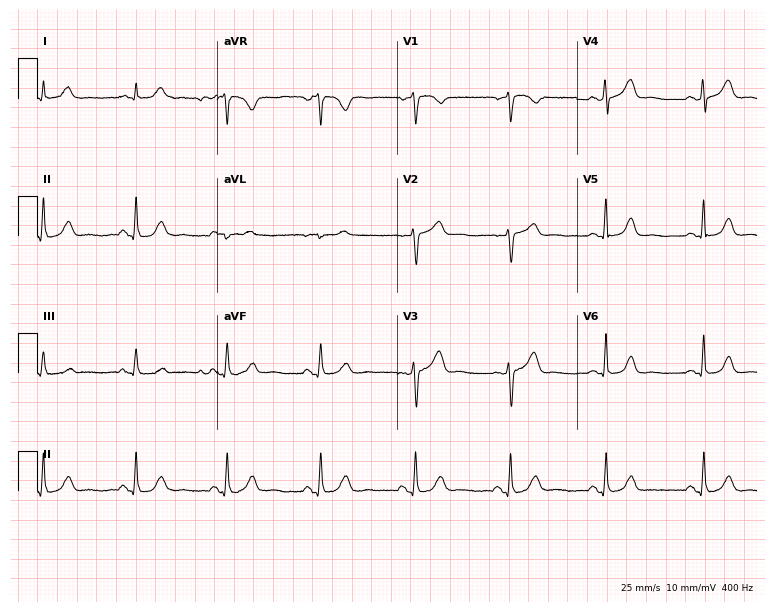
ECG (7.3-second recording at 400 Hz) — a 63-year-old female. Screened for six findings — first-degree AV block, right bundle branch block, left bundle branch block, sinus bradycardia, atrial fibrillation, sinus tachycardia — none is recorded. Only these six findings were labelled.